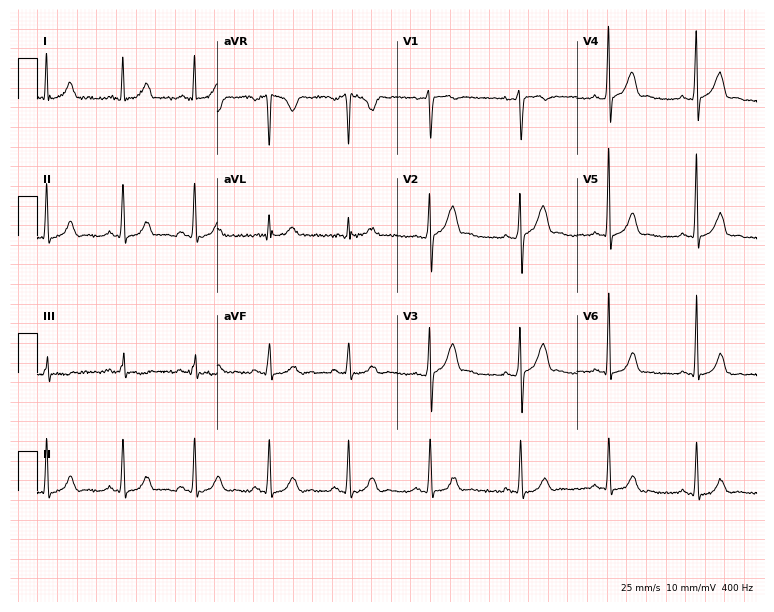
Resting 12-lead electrocardiogram. Patient: a 26-year-old male. Read as a normal ECG.